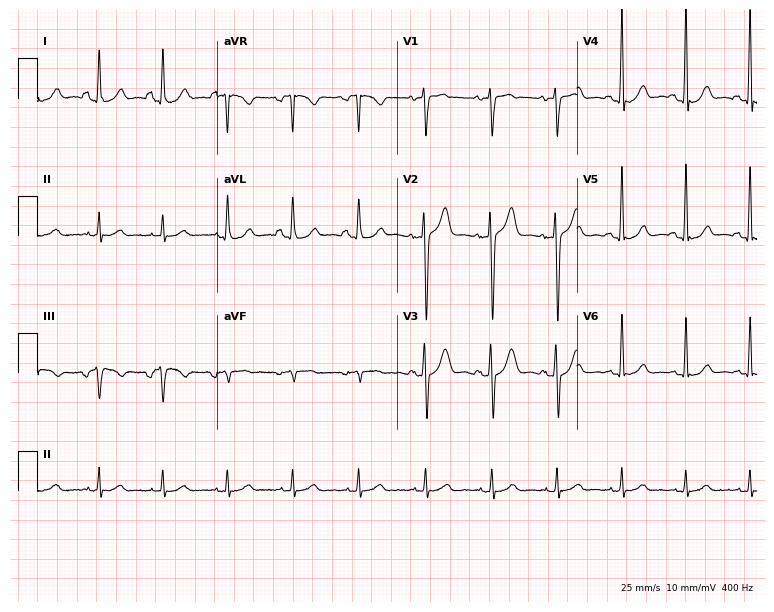
12-lead ECG (7.3-second recording at 400 Hz) from a 56-year-old man. Labelled as a normal ECG.